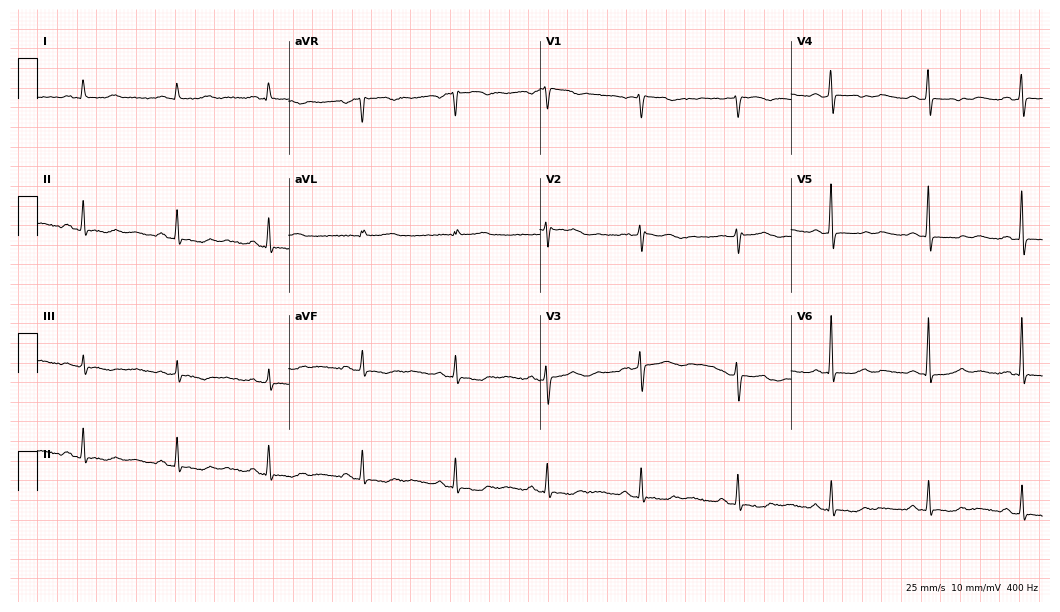
Resting 12-lead electrocardiogram (10.2-second recording at 400 Hz). Patient: a 59-year-old female. None of these six findings is recorded: first-degree AV block, right bundle branch block, left bundle branch block, sinus bradycardia, atrial fibrillation, sinus tachycardia.